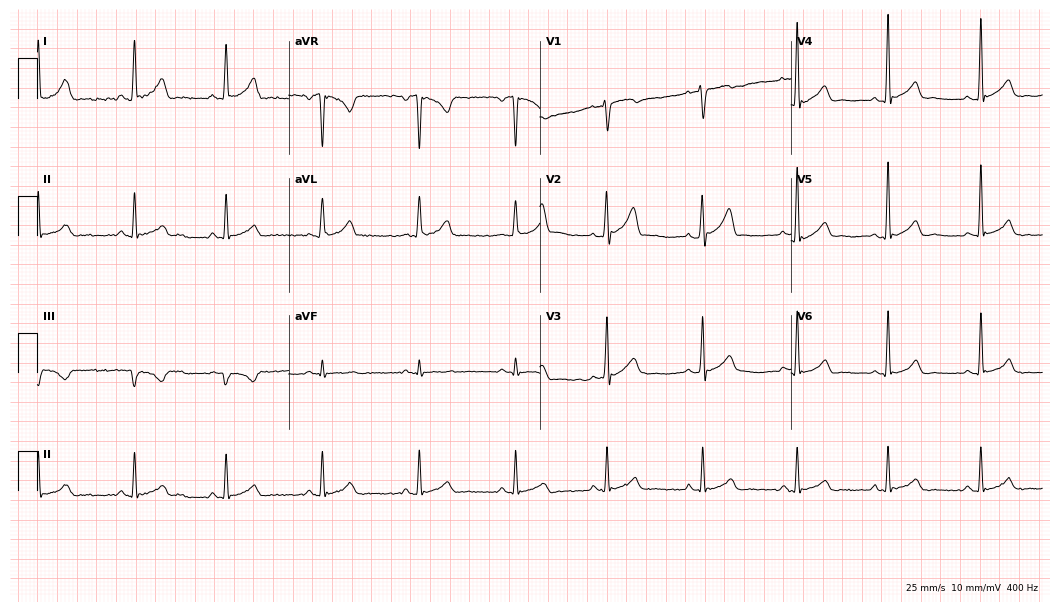
12-lead ECG (10.2-second recording at 400 Hz) from a 37-year-old male patient. Labelled as a normal ECG.